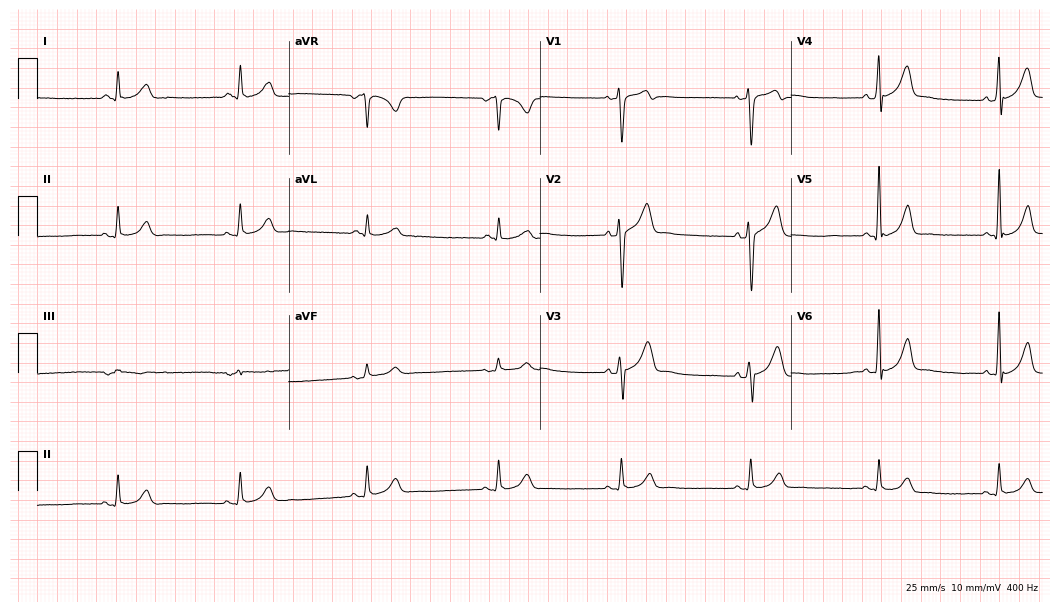
12-lead ECG (10.2-second recording at 400 Hz) from a 49-year-old male patient. Findings include sinus bradycardia (a sinus rate of 50 beats per minute or less).